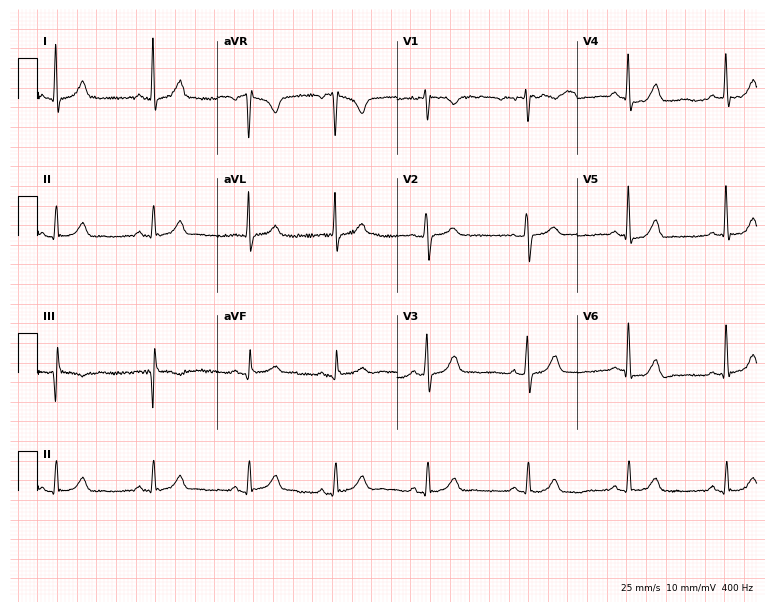
Resting 12-lead electrocardiogram. Patient: a woman, 34 years old. Read as a normal ECG.